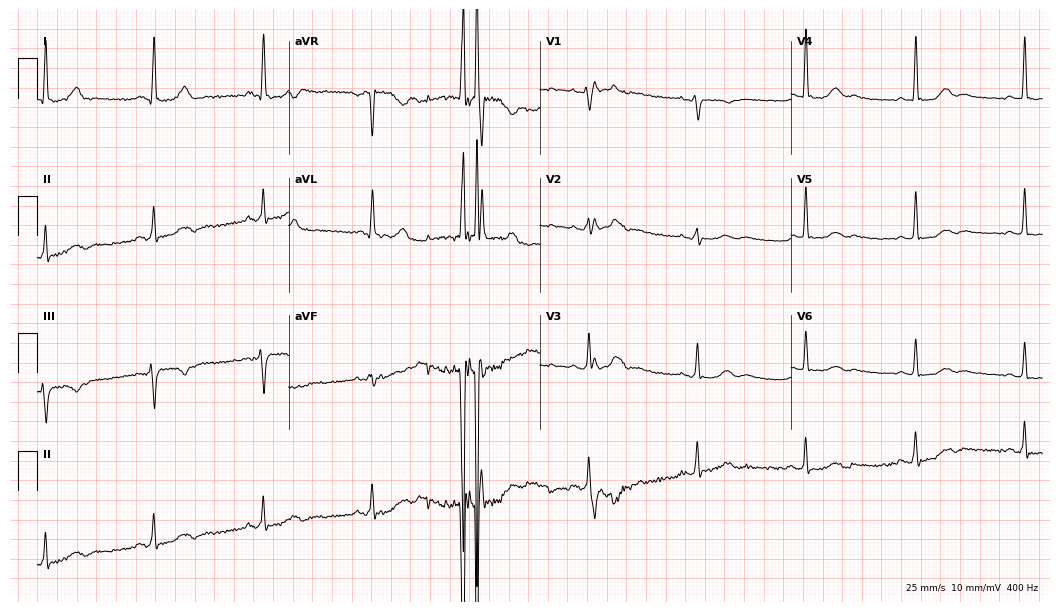
12-lead ECG from a 55-year-old woman. No first-degree AV block, right bundle branch block, left bundle branch block, sinus bradycardia, atrial fibrillation or sinus tachycardia recorded for this tracing.